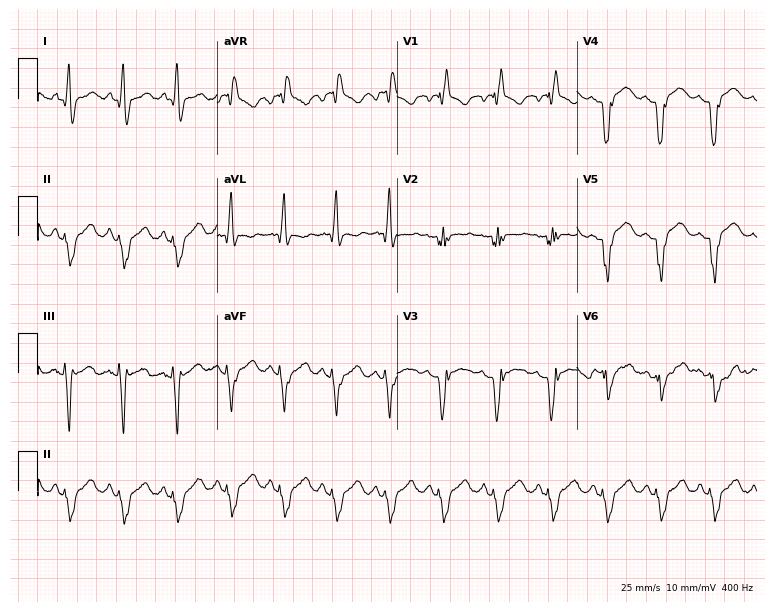
Electrocardiogram, a female patient, 58 years old. Interpretation includes right bundle branch block, sinus tachycardia (a sinus rate of 100 beats per minute or more).